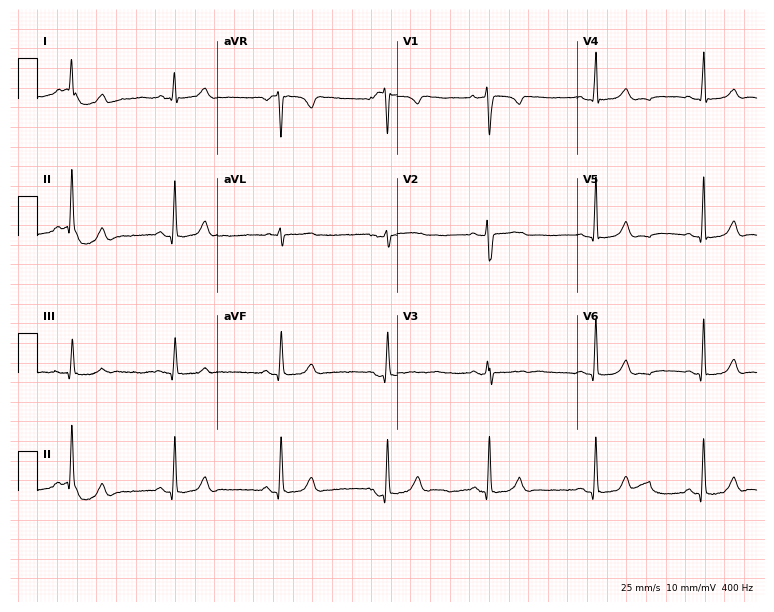
12-lead ECG from a female, 32 years old. Recorded interpretation: within normal limits.